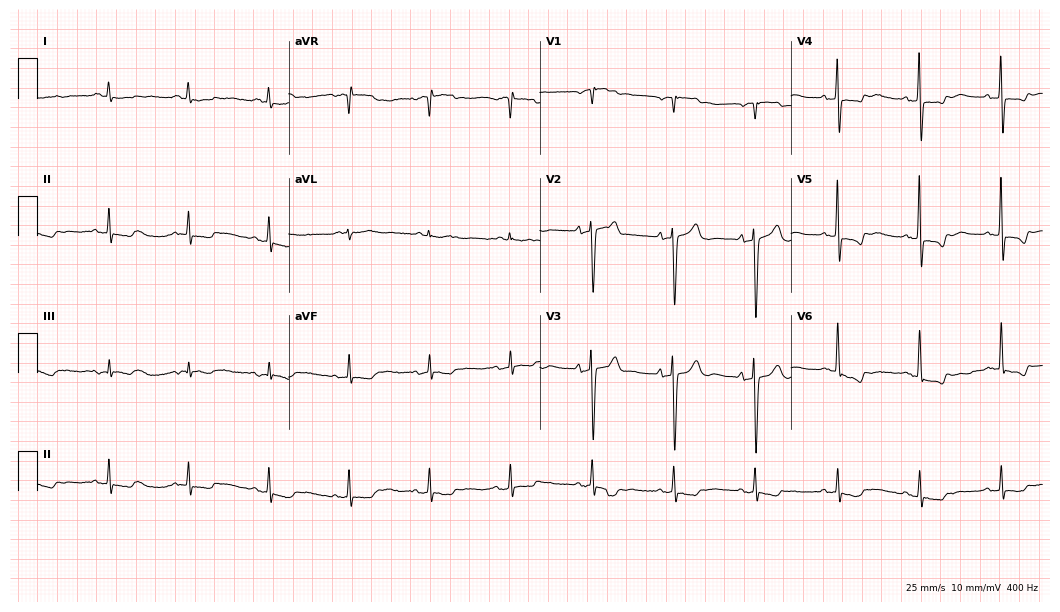
ECG (10.2-second recording at 400 Hz) — a woman, 83 years old. Screened for six findings — first-degree AV block, right bundle branch block, left bundle branch block, sinus bradycardia, atrial fibrillation, sinus tachycardia — none is recorded. Only these six findings were labelled.